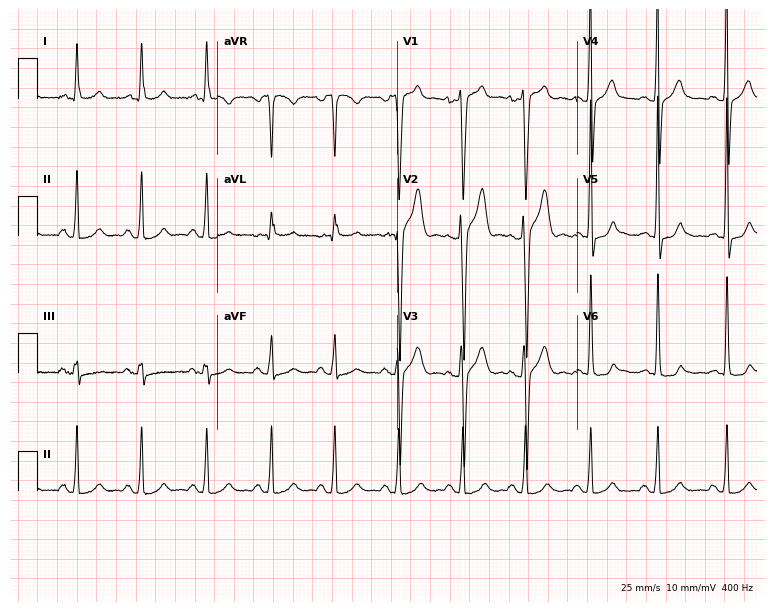
ECG — a 37-year-old man. Screened for six findings — first-degree AV block, right bundle branch block, left bundle branch block, sinus bradycardia, atrial fibrillation, sinus tachycardia — none is recorded. Findings outside these six are not listed.